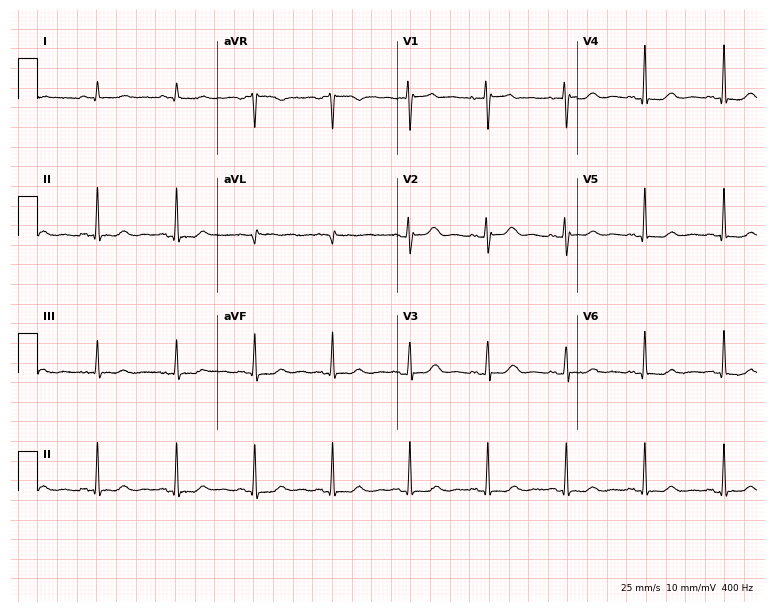
ECG — a woman, 65 years old. Labelled as a normal ECG.